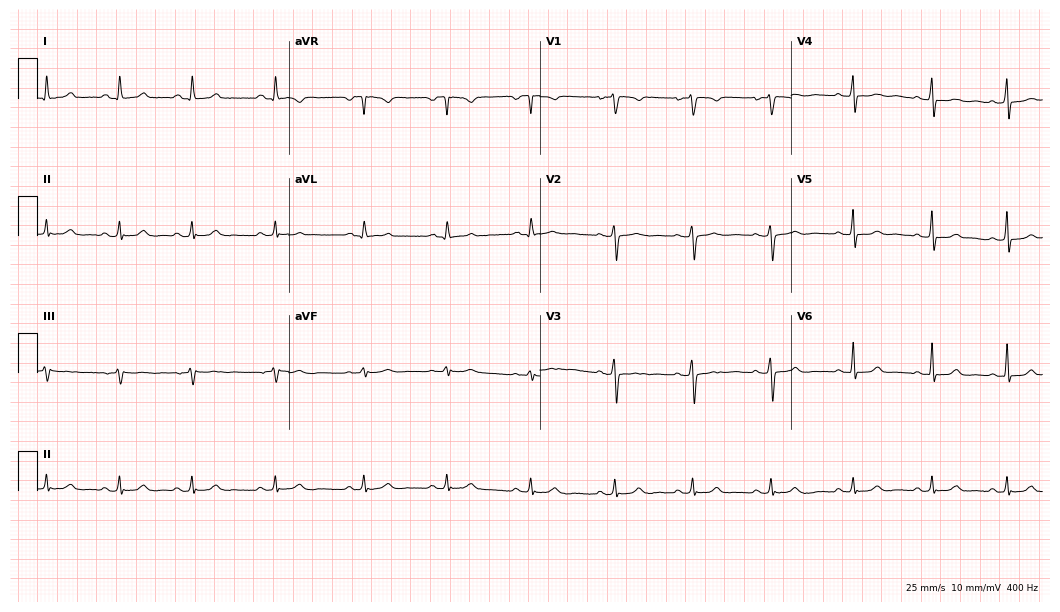
12-lead ECG from a woman, 29 years old (10.2-second recording at 400 Hz). Recorded interpretation: within normal limits.